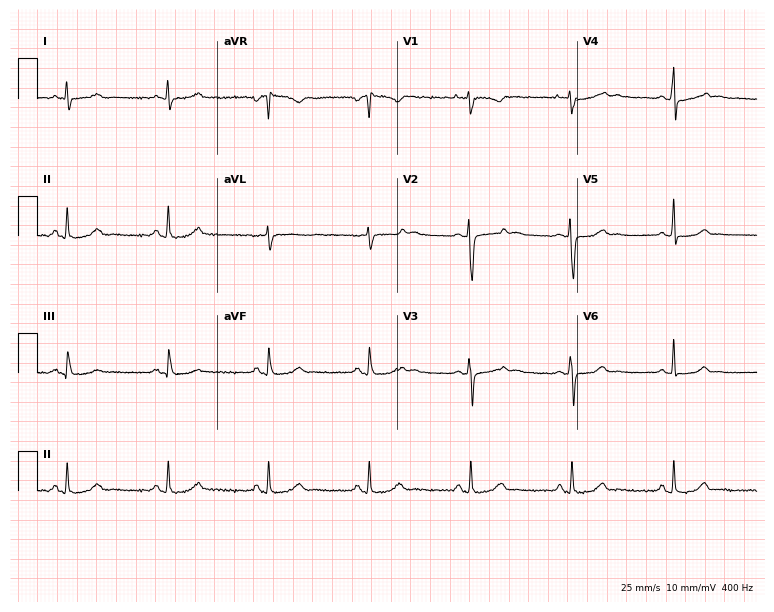
Standard 12-lead ECG recorded from a female, 23 years old. None of these six findings is recorded: first-degree AV block, right bundle branch block (RBBB), left bundle branch block (LBBB), sinus bradycardia, atrial fibrillation (AF), sinus tachycardia.